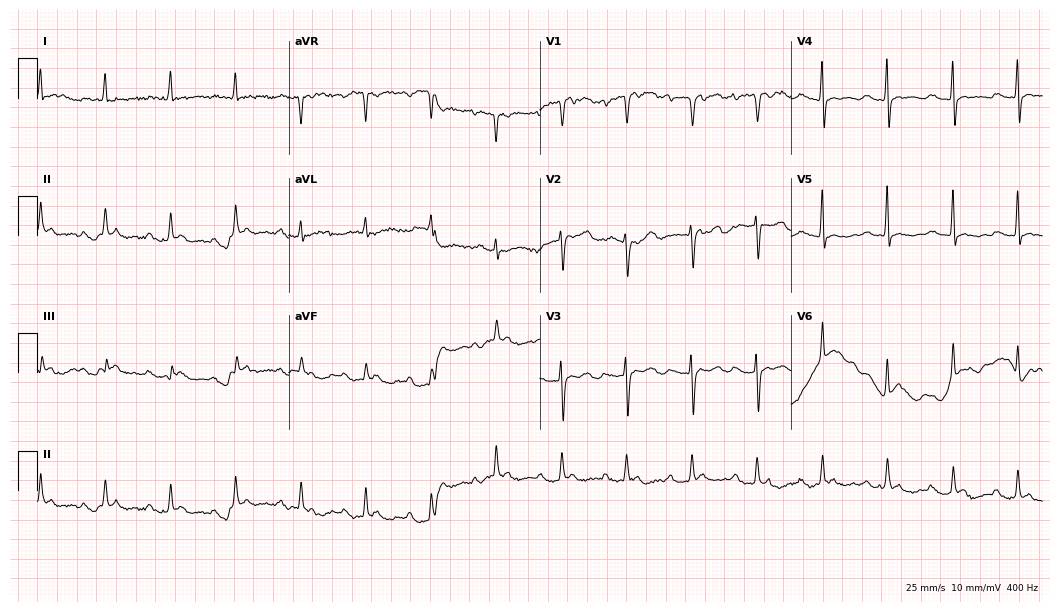
12-lead ECG from a woman, 85 years old (10.2-second recording at 400 Hz). Shows first-degree AV block.